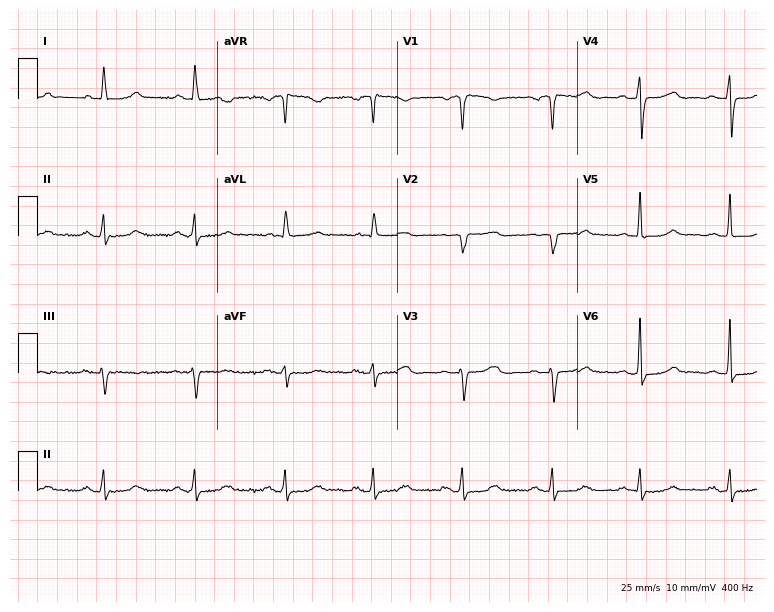
ECG — a 61-year-old woman. Labelled as a normal ECG.